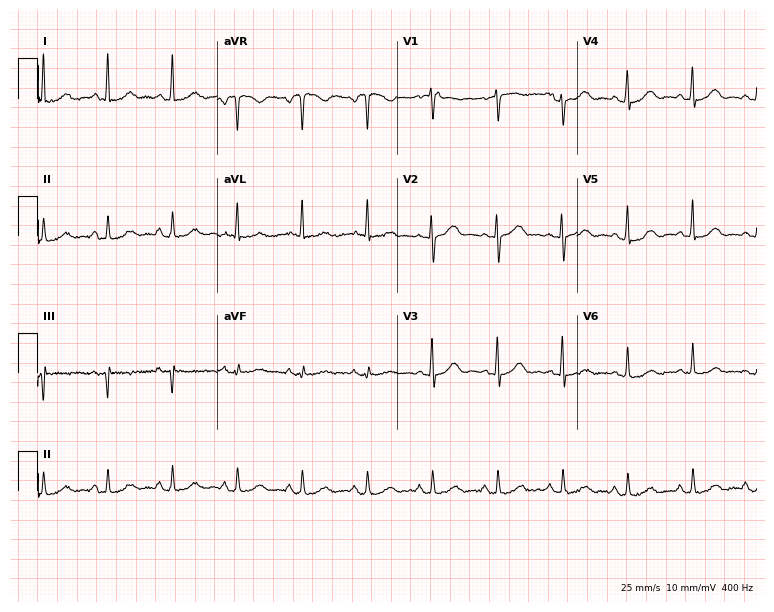
Electrocardiogram, a 66-year-old woman. Of the six screened findings (first-degree AV block, right bundle branch block, left bundle branch block, sinus bradycardia, atrial fibrillation, sinus tachycardia), none is recorded. Findings outside these six are not listed.